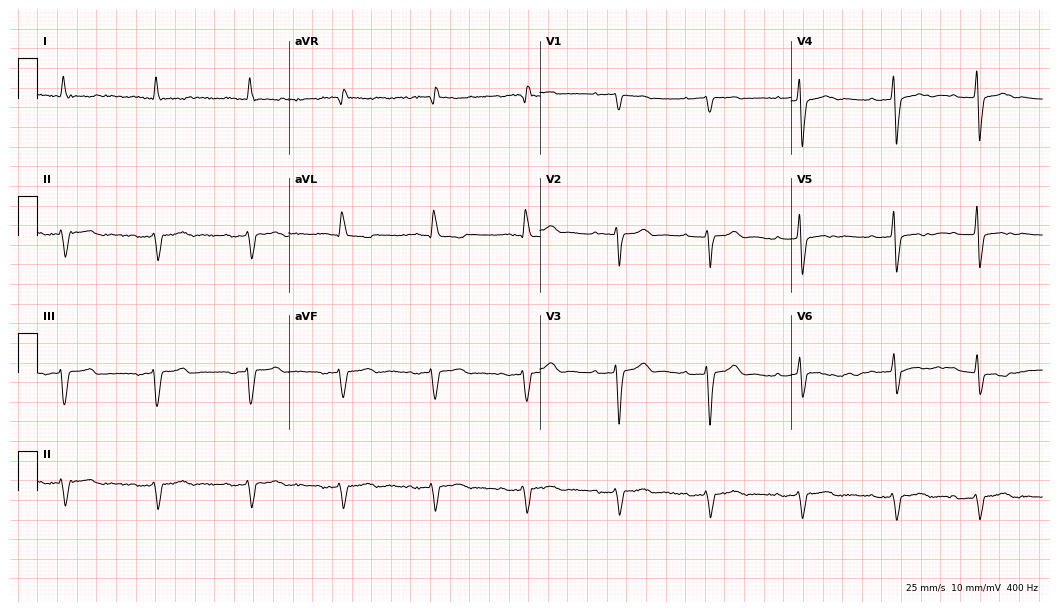
Resting 12-lead electrocardiogram (10.2-second recording at 400 Hz). Patient: an 85-year-old female. The tracing shows left bundle branch block.